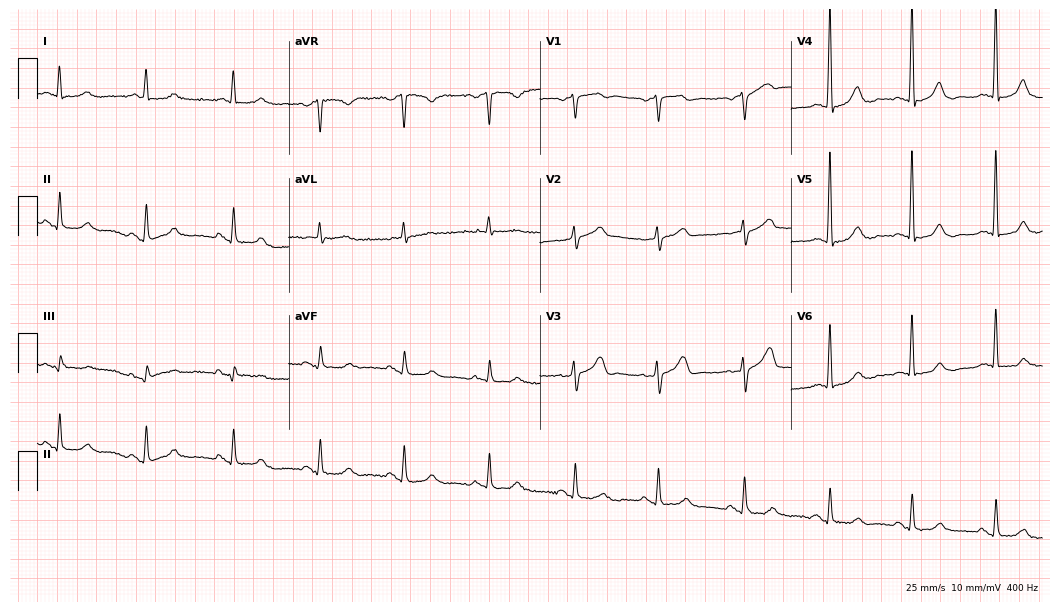
Standard 12-lead ECG recorded from a man, 79 years old (10.2-second recording at 400 Hz). None of these six findings is recorded: first-degree AV block, right bundle branch block, left bundle branch block, sinus bradycardia, atrial fibrillation, sinus tachycardia.